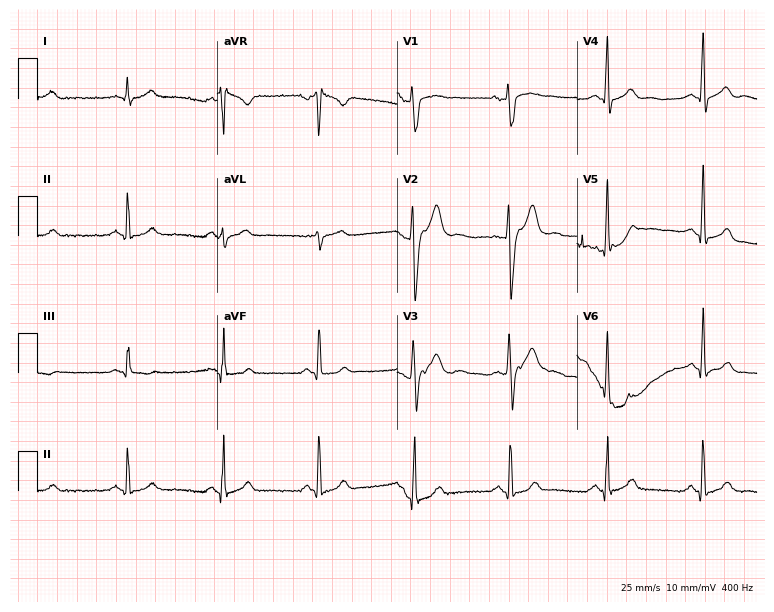
Electrocardiogram (7.3-second recording at 400 Hz), a 49-year-old male patient. Of the six screened findings (first-degree AV block, right bundle branch block (RBBB), left bundle branch block (LBBB), sinus bradycardia, atrial fibrillation (AF), sinus tachycardia), none is recorded.